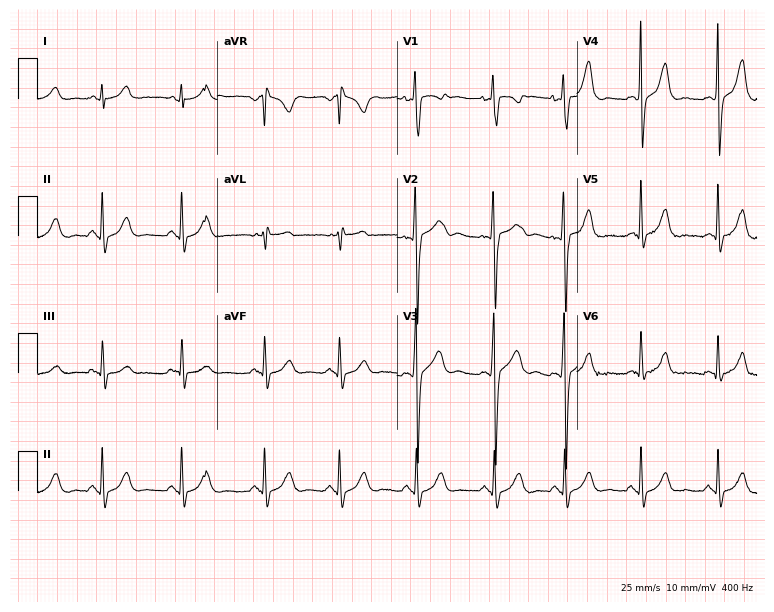
12-lead ECG (7.3-second recording at 400 Hz) from a 20-year-old male patient. Labelled as a normal ECG.